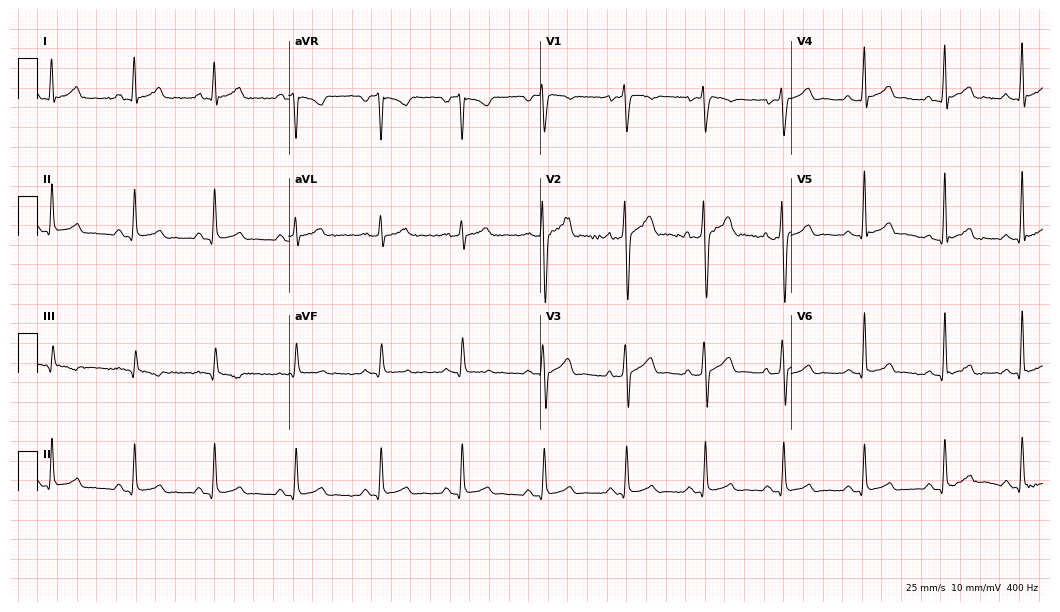
12-lead ECG from a 38-year-old man (10.2-second recording at 400 Hz). Recorded interpretation: within normal limits.